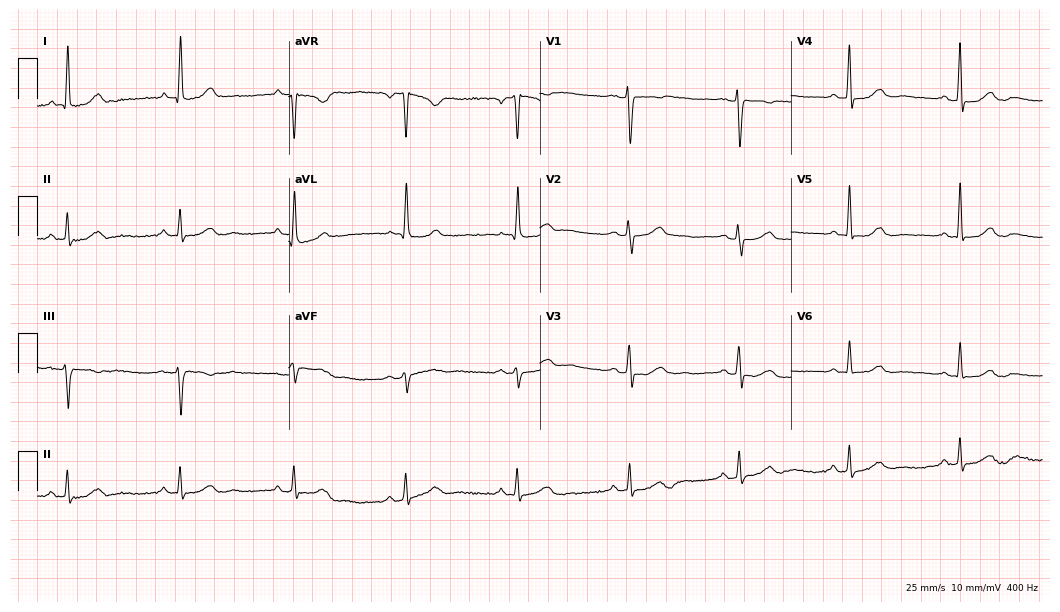
12-lead ECG (10.2-second recording at 400 Hz) from a female, 73 years old. Screened for six findings — first-degree AV block, right bundle branch block, left bundle branch block, sinus bradycardia, atrial fibrillation, sinus tachycardia — none is recorded.